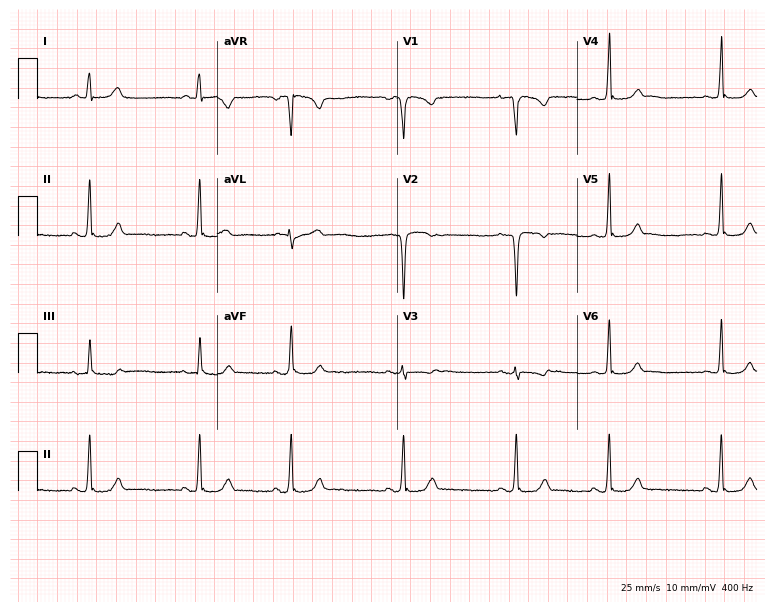
12-lead ECG from a female, 23 years old. Screened for six findings — first-degree AV block, right bundle branch block, left bundle branch block, sinus bradycardia, atrial fibrillation, sinus tachycardia — none is recorded. Findings outside these six are not listed.